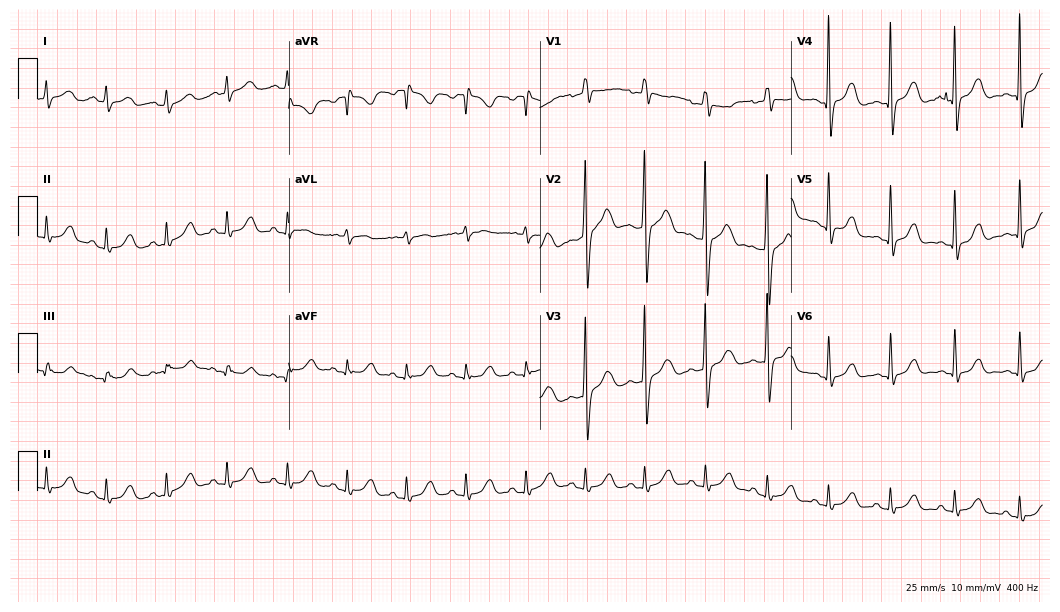
12-lead ECG (10.2-second recording at 400 Hz) from a 25-year-old woman. Labelled as a normal ECG.